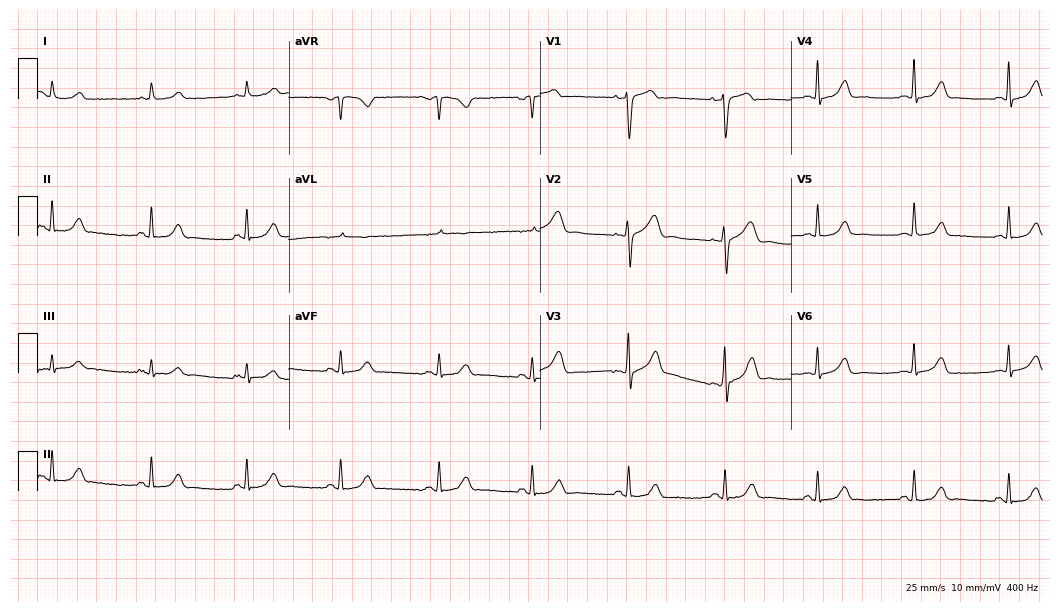
ECG (10.2-second recording at 400 Hz) — a 39-year-old woman. Screened for six findings — first-degree AV block, right bundle branch block, left bundle branch block, sinus bradycardia, atrial fibrillation, sinus tachycardia — none is recorded. Other findings, if any, are not listed.